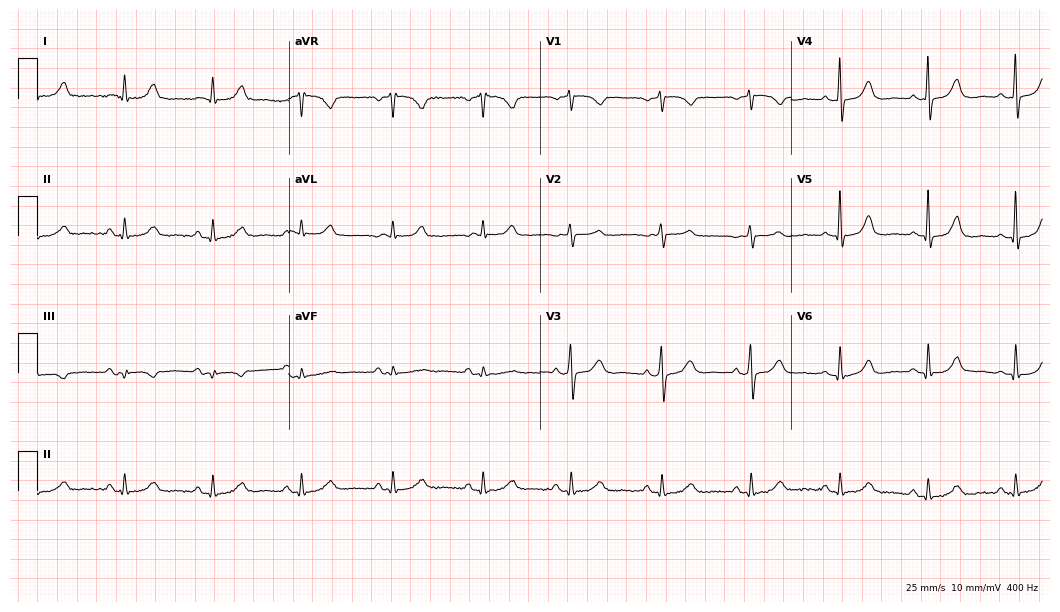
Resting 12-lead electrocardiogram. Patient: a female, 79 years old. Read as a normal ECG.